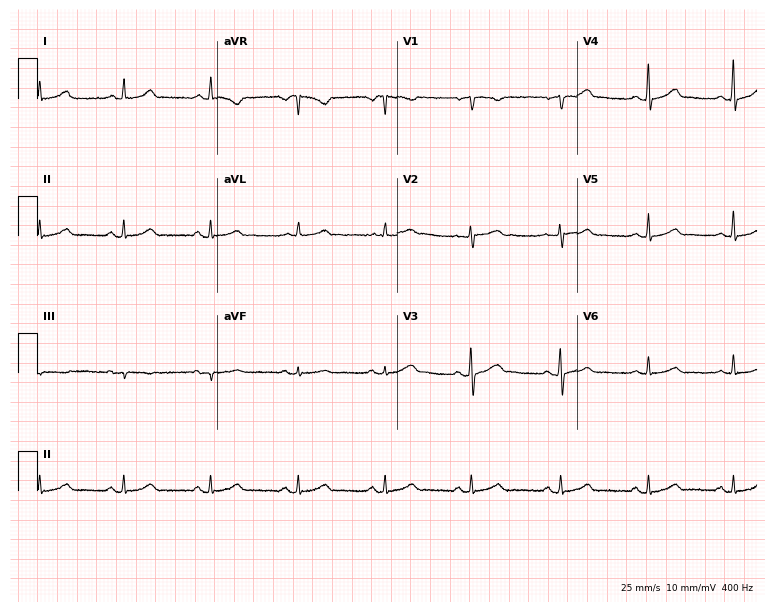
Resting 12-lead electrocardiogram. Patient: a female, 46 years old. None of these six findings is recorded: first-degree AV block, right bundle branch block (RBBB), left bundle branch block (LBBB), sinus bradycardia, atrial fibrillation (AF), sinus tachycardia. Only these six findings were labelled.